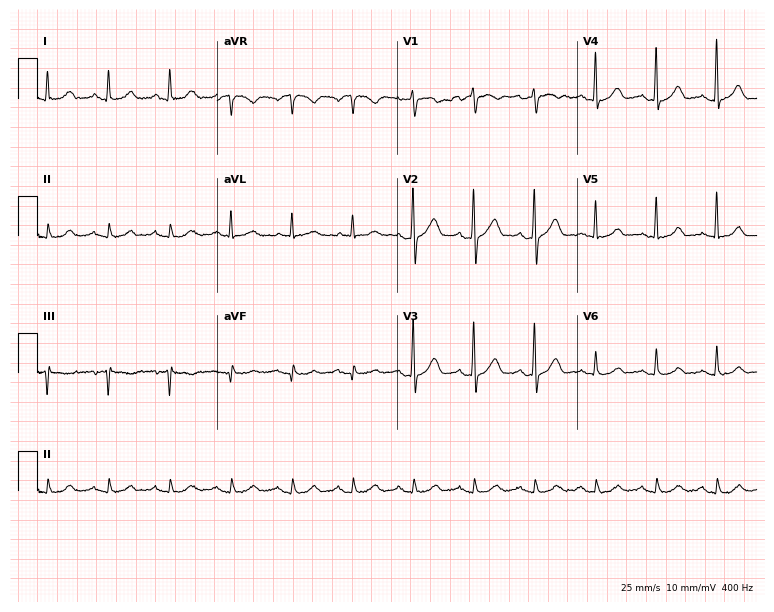
ECG (7.3-second recording at 400 Hz) — a male patient, 78 years old. Labelled as a normal ECG.